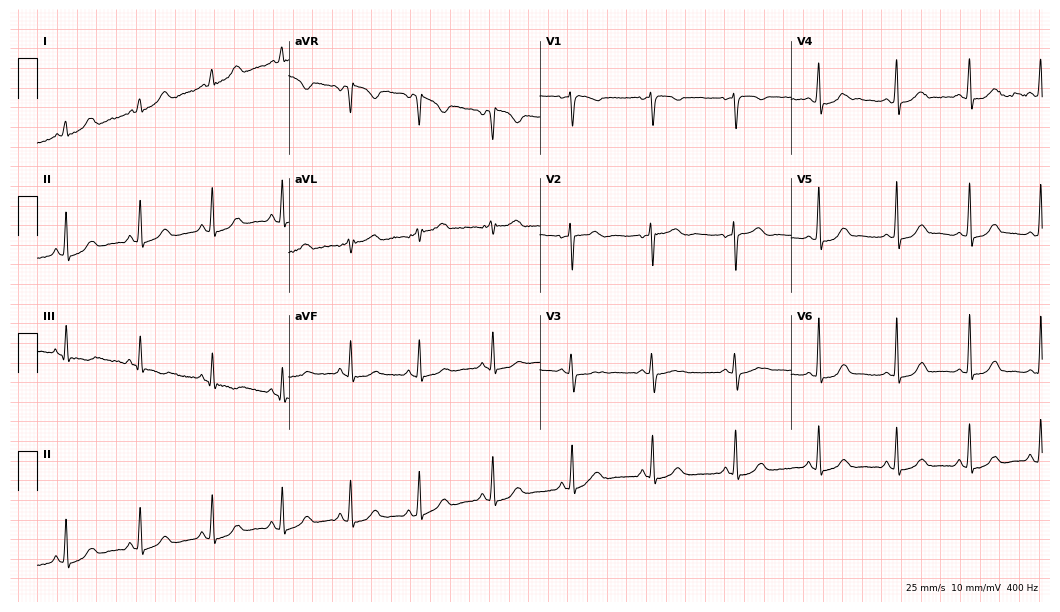
Electrocardiogram, a 29-year-old woman. Overall reading on record: normal ECG.